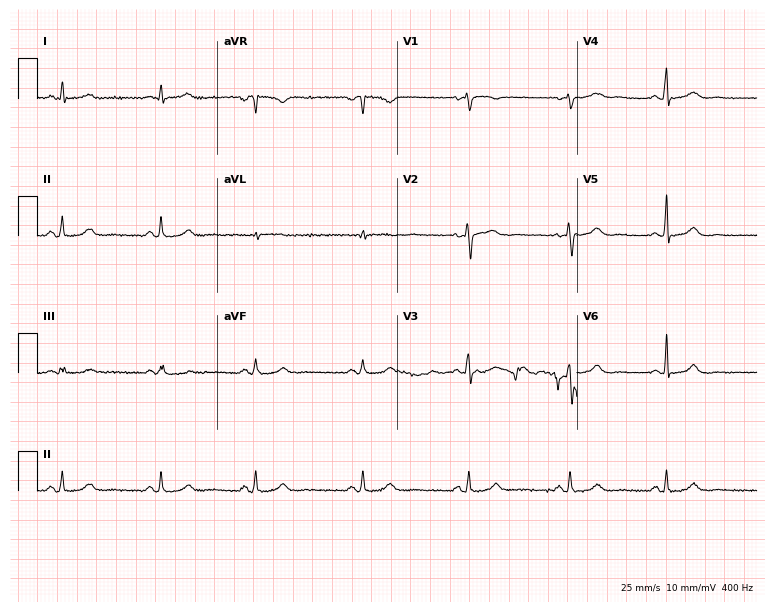
Electrocardiogram (7.3-second recording at 400 Hz), a female, 34 years old. Overall reading on record: normal ECG.